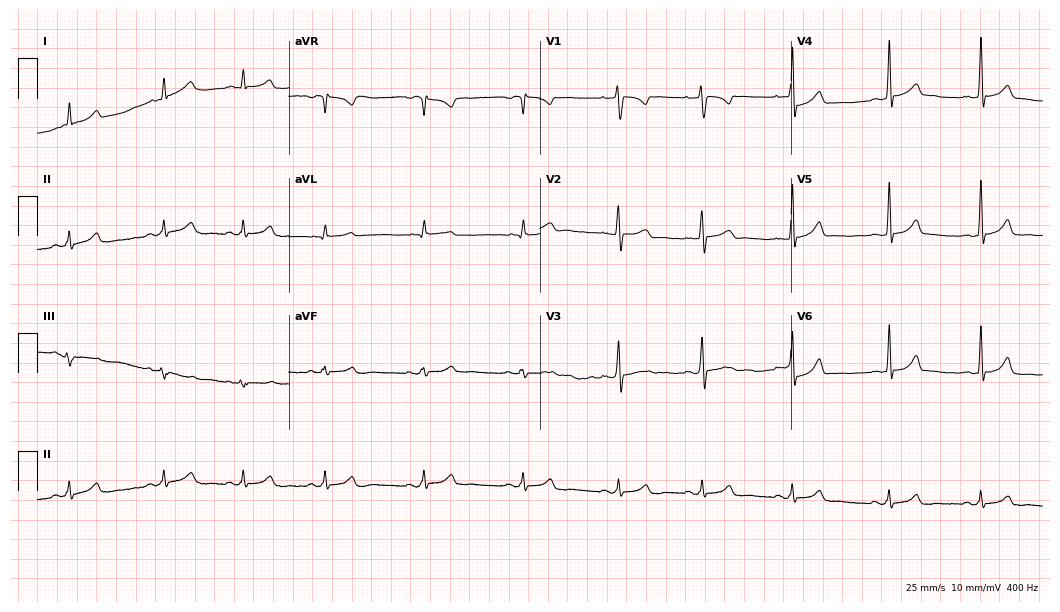
ECG — a 23-year-old woman. Screened for six findings — first-degree AV block, right bundle branch block, left bundle branch block, sinus bradycardia, atrial fibrillation, sinus tachycardia — none is recorded. Findings outside these six are not listed.